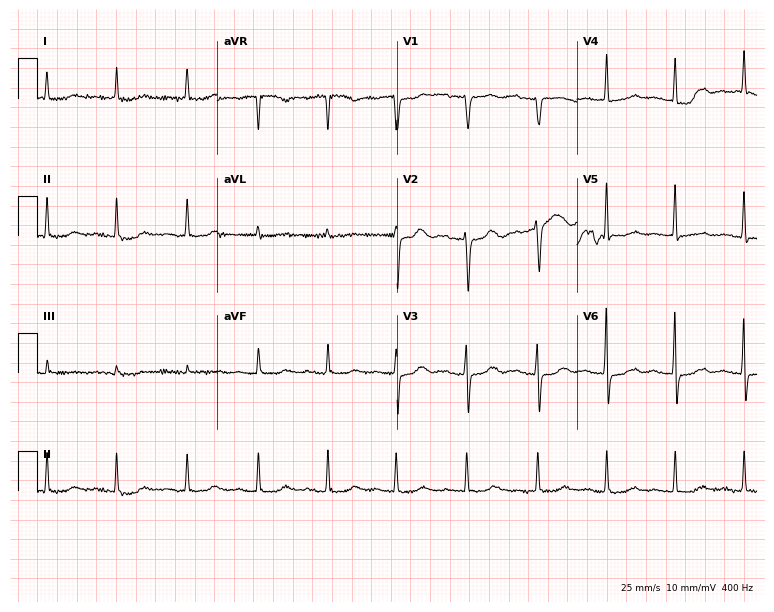
Standard 12-lead ECG recorded from a woman, 76 years old. None of these six findings is recorded: first-degree AV block, right bundle branch block (RBBB), left bundle branch block (LBBB), sinus bradycardia, atrial fibrillation (AF), sinus tachycardia. Other findings, if any, are not listed.